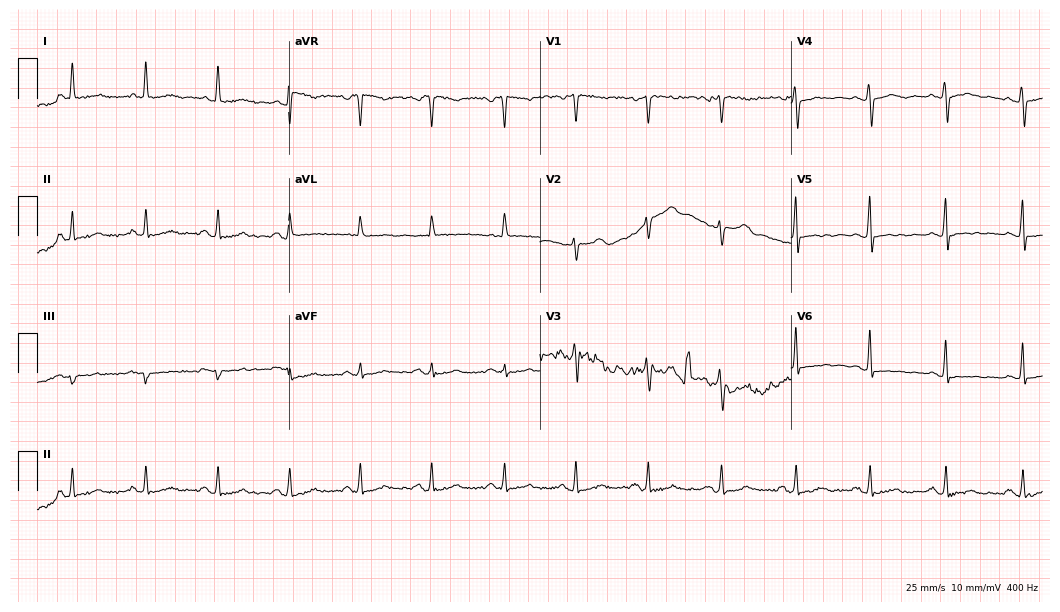
12-lead ECG from a female, 40 years old (10.2-second recording at 400 Hz). No first-degree AV block, right bundle branch block, left bundle branch block, sinus bradycardia, atrial fibrillation or sinus tachycardia recorded for this tracing.